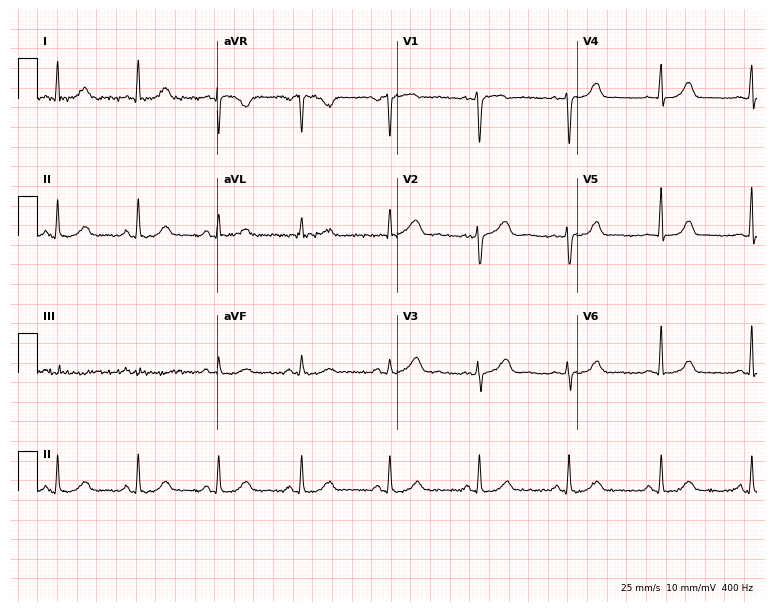
12-lead ECG from a 36-year-old woman (7.3-second recording at 400 Hz). No first-degree AV block, right bundle branch block, left bundle branch block, sinus bradycardia, atrial fibrillation or sinus tachycardia recorded for this tracing. Only these six findings were labelled.